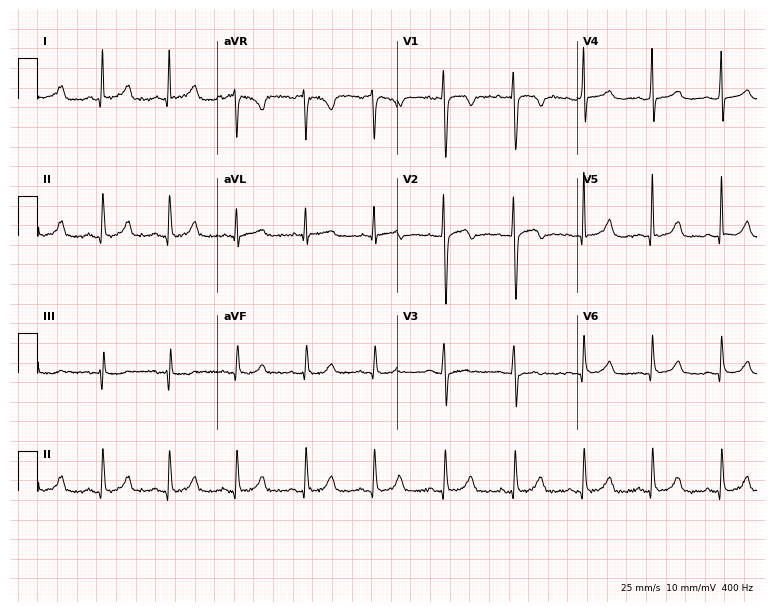
ECG (7.3-second recording at 400 Hz) — a 36-year-old female. Screened for six findings — first-degree AV block, right bundle branch block, left bundle branch block, sinus bradycardia, atrial fibrillation, sinus tachycardia — none is recorded.